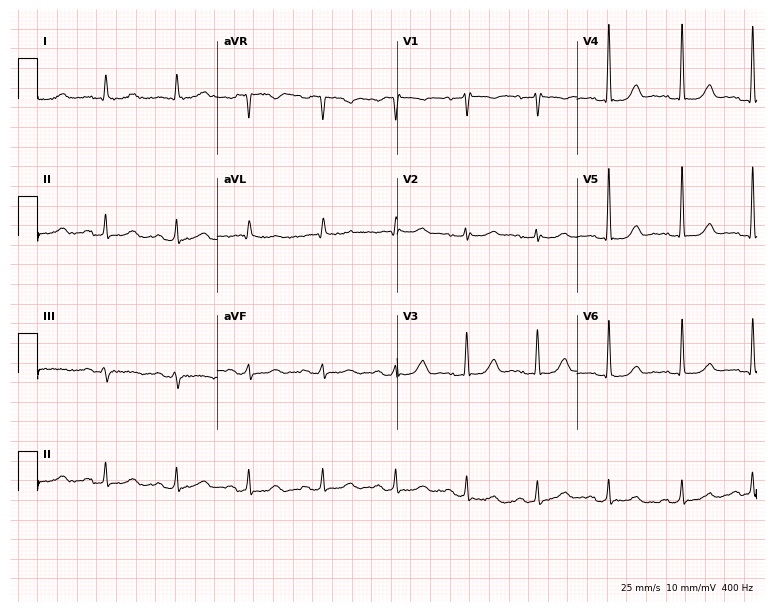
Standard 12-lead ECG recorded from a 73-year-old woman. None of these six findings is recorded: first-degree AV block, right bundle branch block, left bundle branch block, sinus bradycardia, atrial fibrillation, sinus tachycardia.